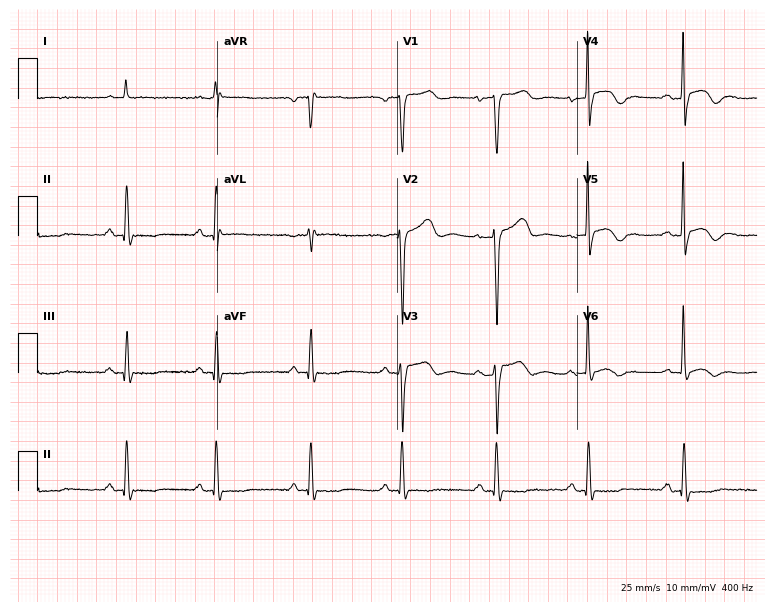
Standard 12-lead ECG recorded from a female patient, 84 years old. None of these six findings is recorded: first-degree AV block, right bundle branch block, left bundle branch block, sinus bradycardia, atrial fibrillation, sinus tachycardia. Other findings, if any, are not listed.